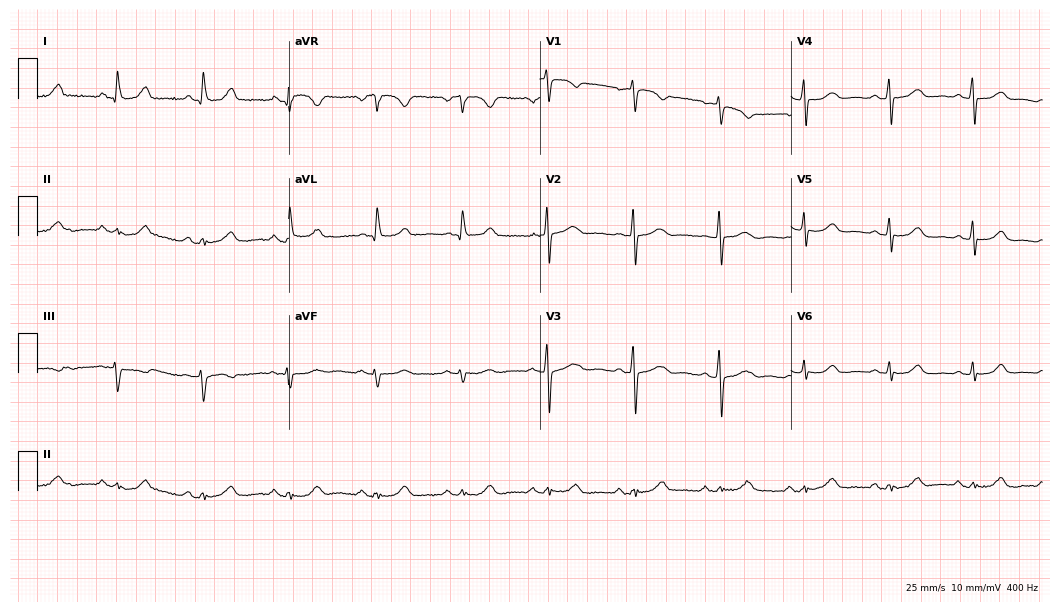
Electrocardiogram, a 52-year-old woman. Of the six screened findings (first-degree AV block, right bundle branch block (RBBB), left bundle branch block (LBBB), sinus bradycardia, atrial fibrillation (AF), sinus tachycardia), none is recorded. Only these six findings were labelled.